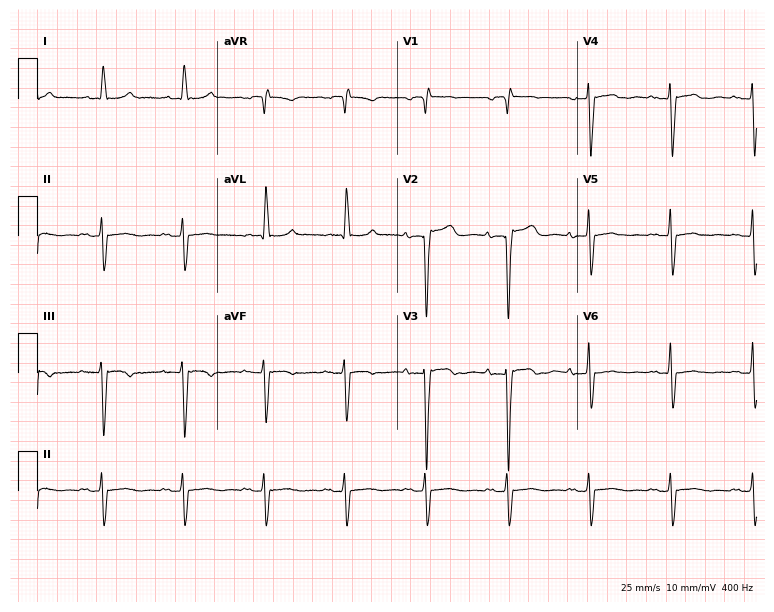
Resting 12-lead electrocardiogram. Patient: a woman, 81 years old. None of these six findings is recorded: first-degree AV block, right bundle branch block, left bundle branch block, sinus bradycardia, atrial fibrillation, sinus tachycardia.